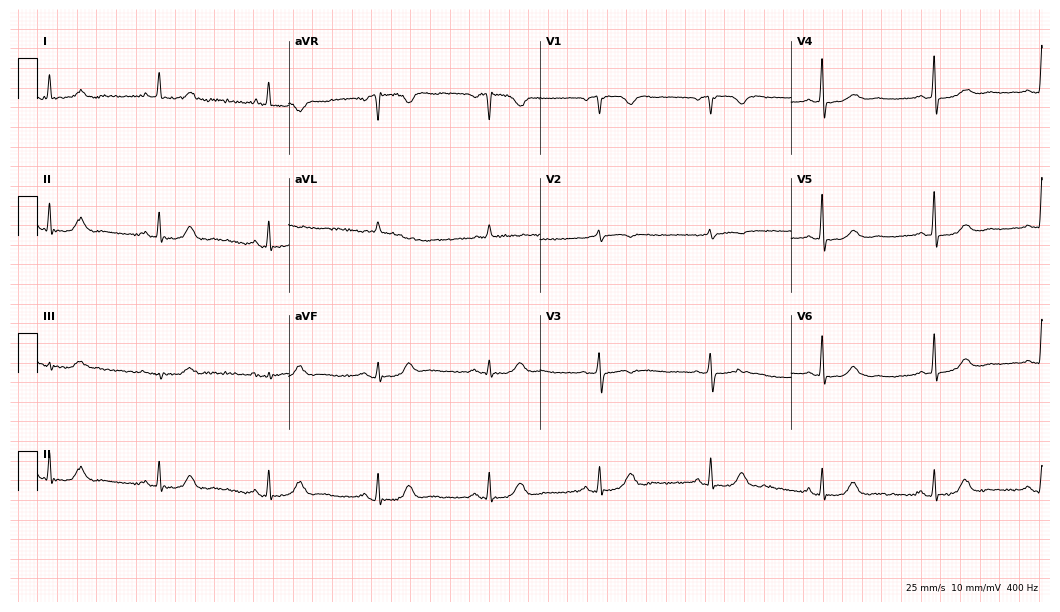
Electrocardiogram, a 64-year-old female patient. Of the six screened findings (first-degree AV block, right bundle branch block, left bundle branch block, sinus bradycardia, atrial fibrillation, sinus tachycardia), none is recorded.